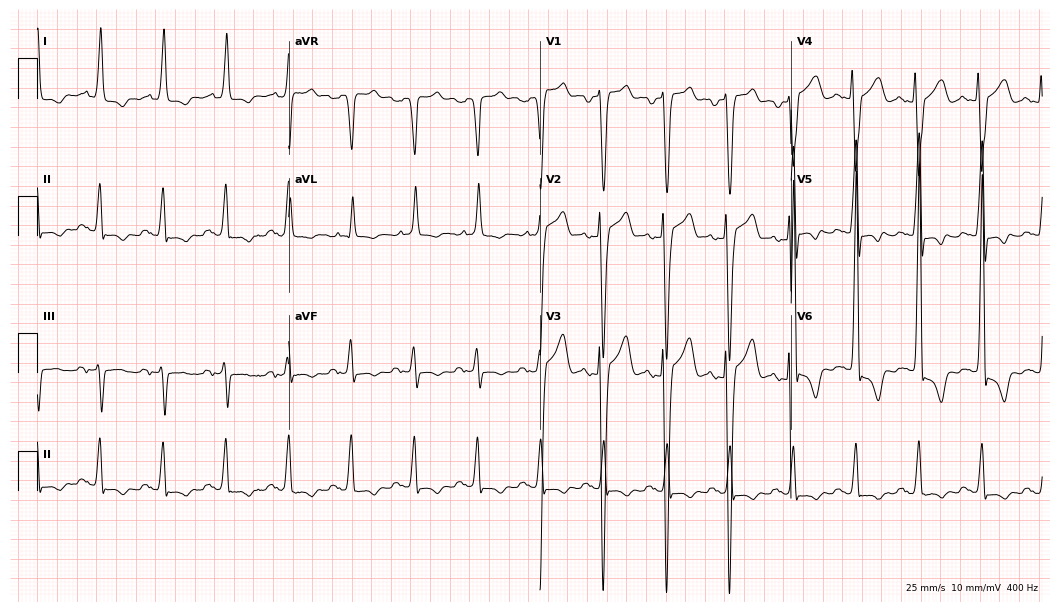
Resting 12-lead electrocardiogram. Patient: a male, 67 years old. None of these six findings is recorded: first-degree AV block, right bundle branch block, left bundle branch block, sinus bradycardia, atrial fibrillation, sinus tachycardia. Findings outside these six are not listed.